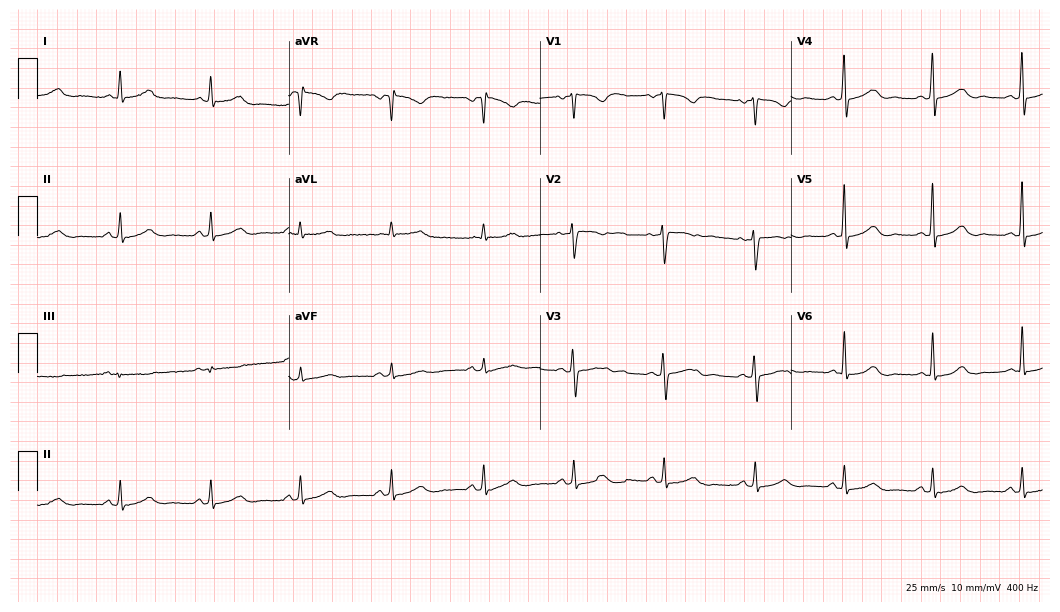
12-lead ECG from a female, 53 years old. Labelled as a normal ECG.